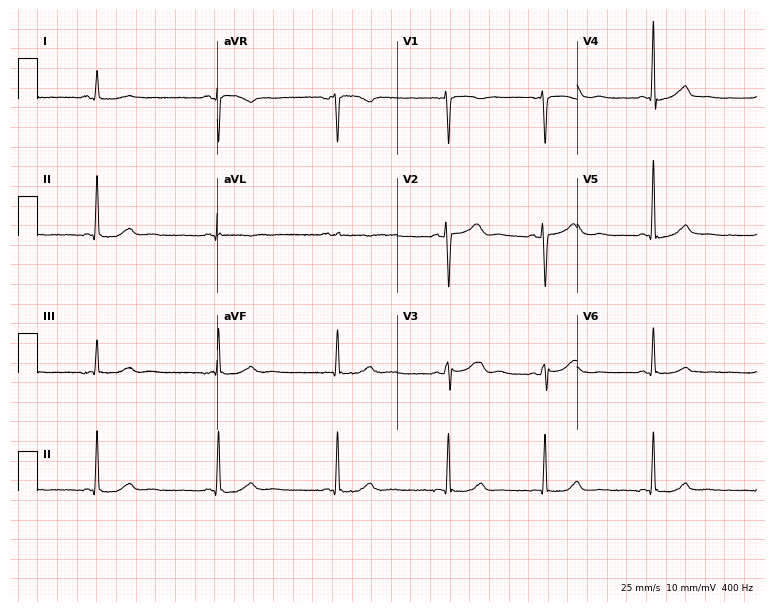
12-lead ECG from a woman, 43 years old. No first-degree AV block, right bundle branch block, left bundle branch block, sinus bradycardia, atrial fibrillation or sinus tachycardia recorded for this tracing.